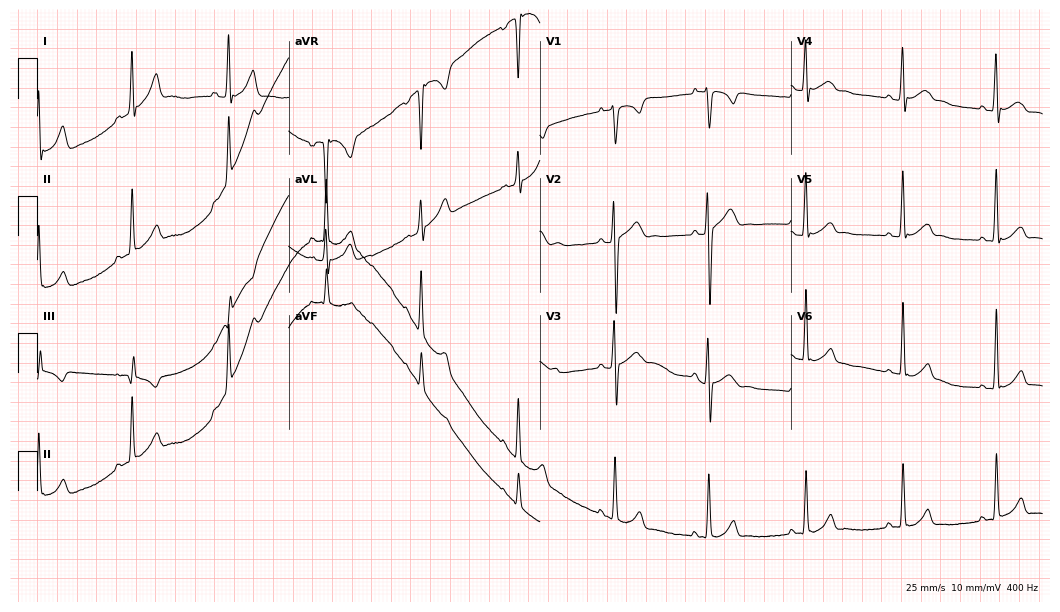
12-lead ECG from a 21-year-old male patient. Recorded interpretation: within normal limits.